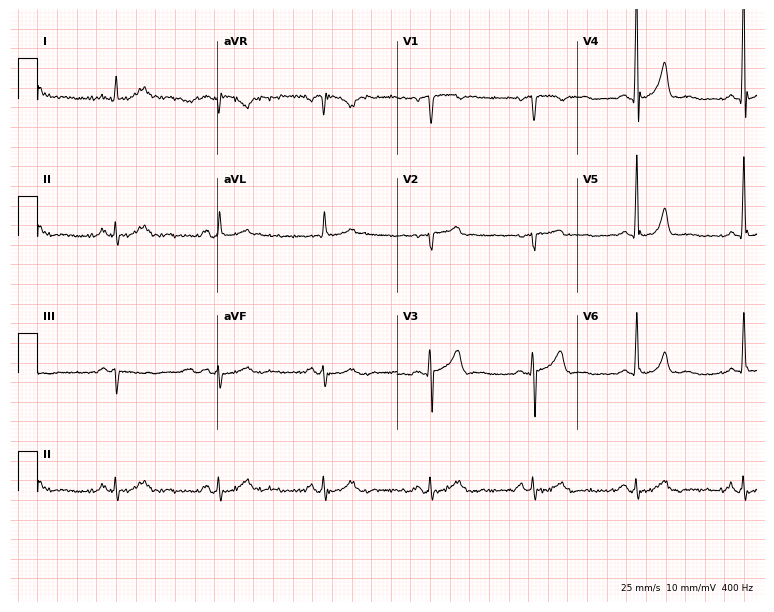
12-lead ECG from a 54-year-old male (7.3-second recording at 400 Hz). Recorded interpretation: within normal limits.